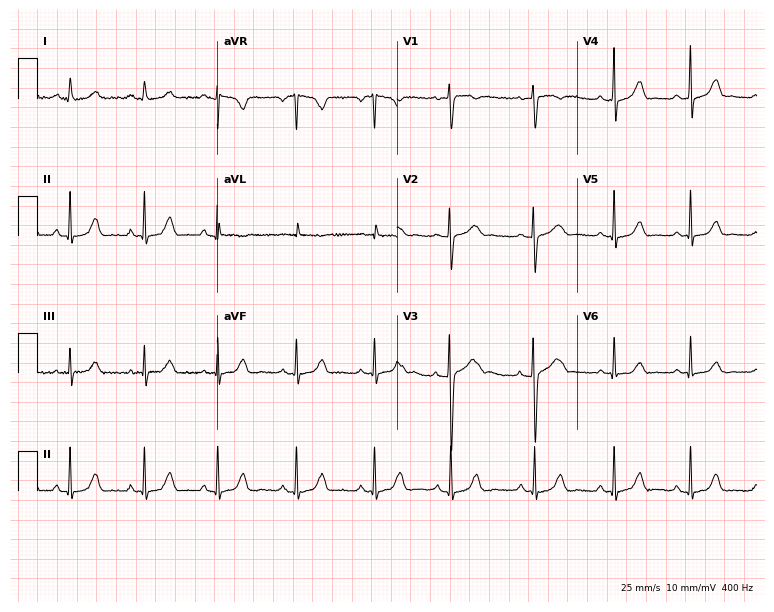
Resting 12-lead electrocardiogram (7.3-second recording at 400 Hz). Patient: a female, 24 years old. None of these six findings is recorded: first-degree AV block, right bundle branch block (RBBB), left bundle branch block (LBBB), sinus bradycardia, atrial fibrillation (AF), sinus tachycardia. Other findings, if any, are not listed.